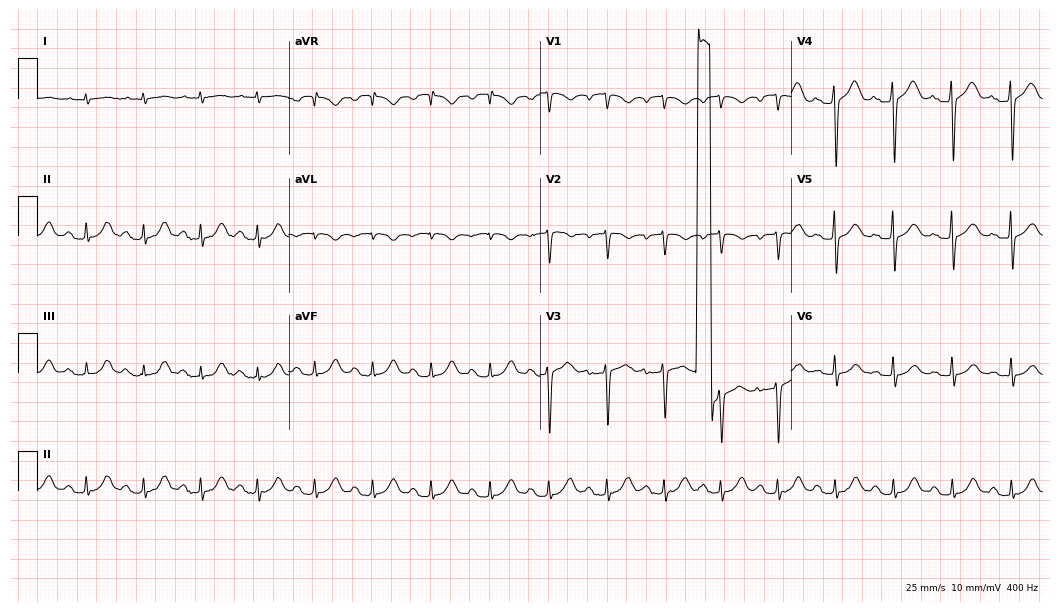
Standard 12-lead ECG recorded from a 78-year-old male patient (10.2-second recording at 400 Hz). None of these six findings is recorded: first-degree AV block, right bundle branch block, left bundle branch block, sinus bradycardia, atrial fibrillation, sinus tachycardia. Other findings, if any, are not listed.